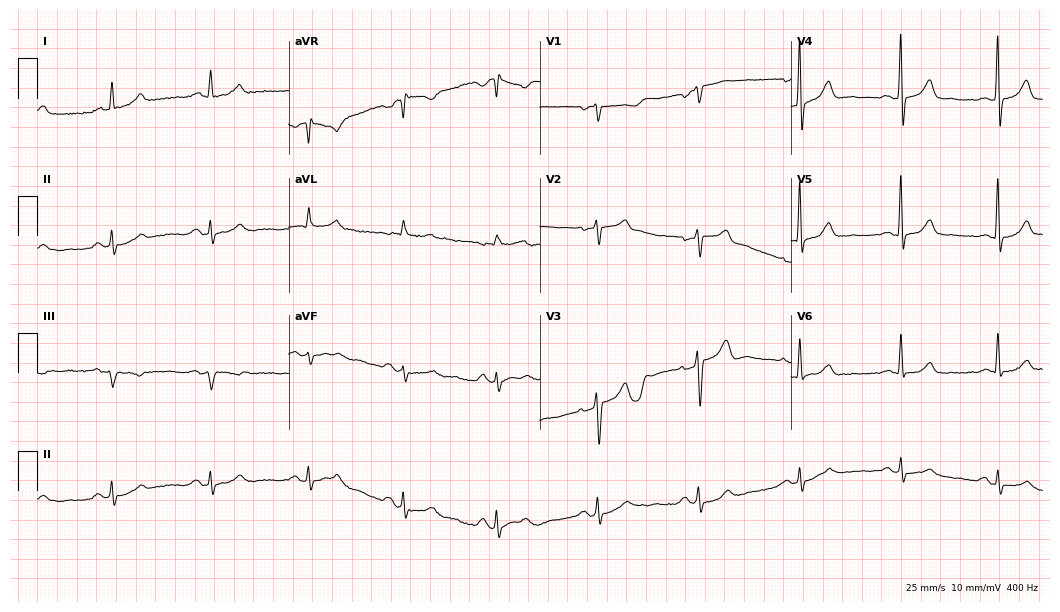
12-lead ECG from a 57-year-old male. Recorded interpretation: within normal limits.